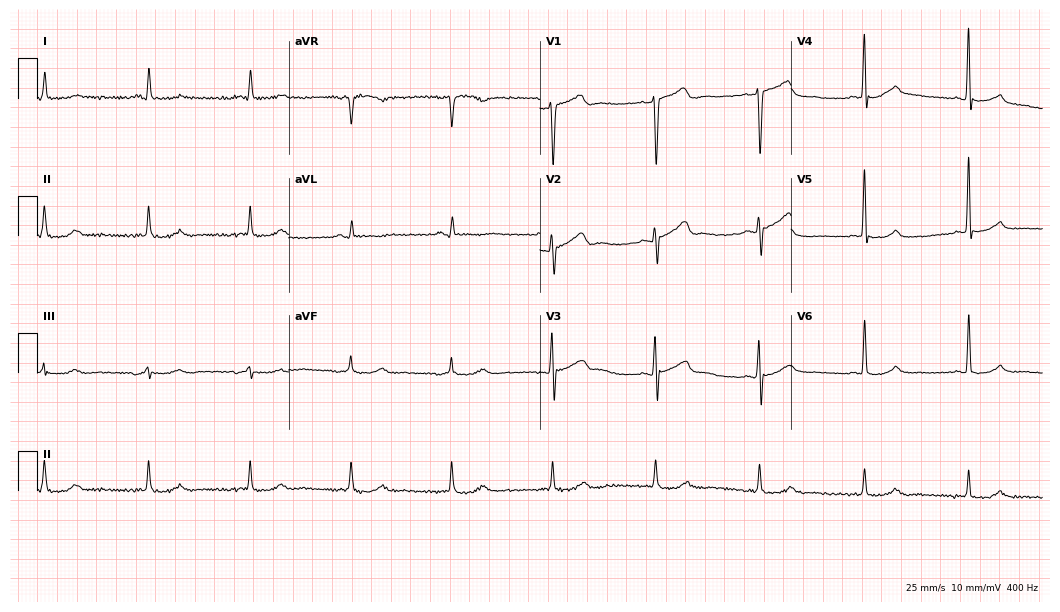
ECG (10.2-second recording at 400 Hz) — a man, 59 years old. Screened for six findings — first-degree AV block, right bundle branch block (RBBB), left bundle branch block (LBBB), sinus bradycardia, atrial fibrillation (AF), sinus tachycardia — none is recorded. Only these six findings were labelled.